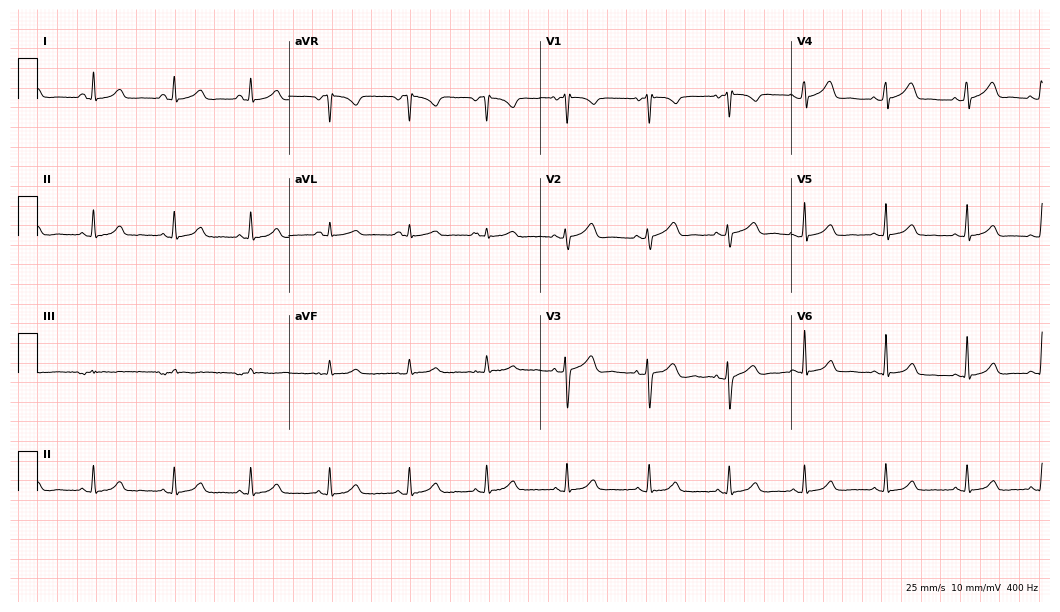
Resting 12-lead electrocardiogram (10.2-second recording at 400 Hz). Patient: a 26-year-old female. Read as a normal ECG.